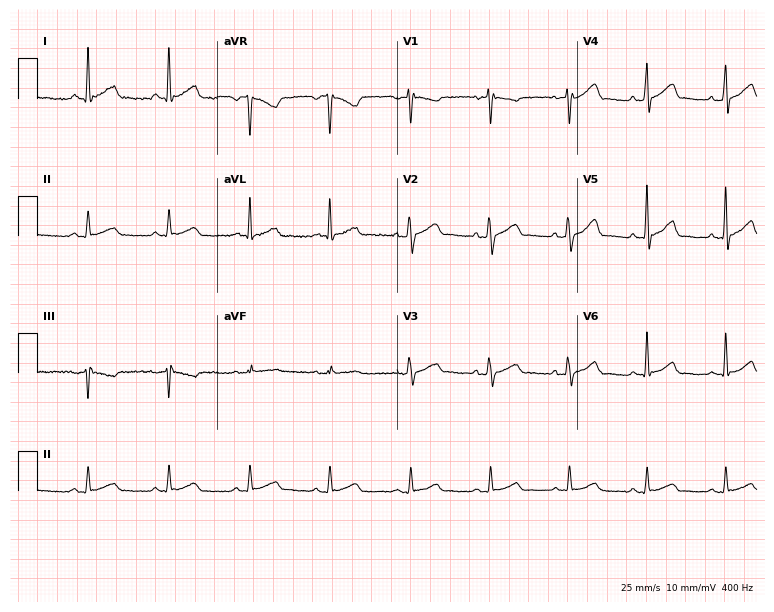
Standard 12-lead ECG recorded from a 44-year-old male patient. None of these six findings is recorded: first-degree AV block, right bundle branch block, left bundle branch block, sinus bradycardia, atrial fibrillation, sinus tachycardia. Only these six findings were labelled.